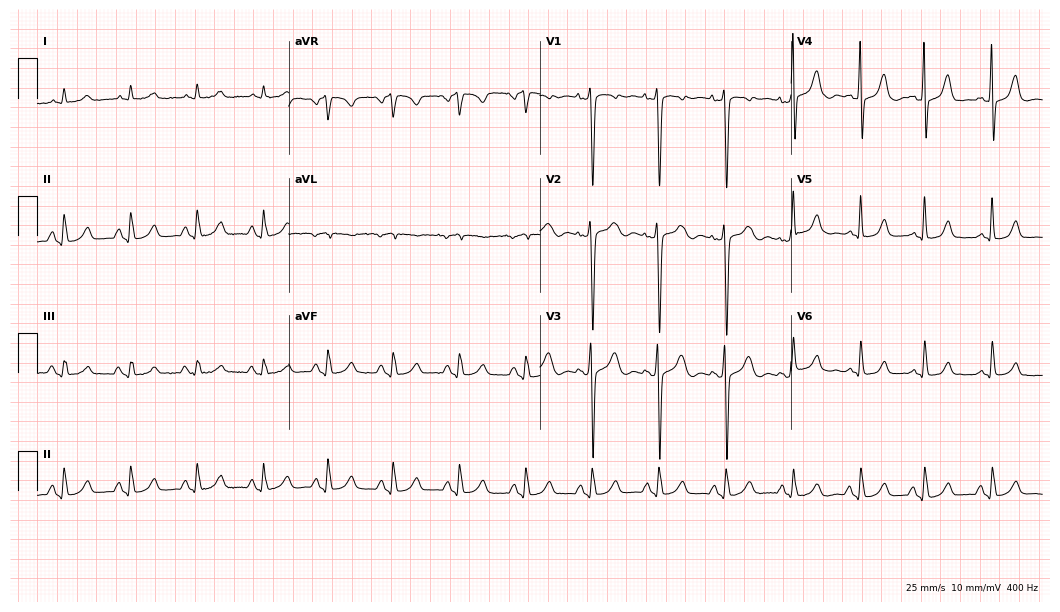
Standard 12-lead ECG recorded from a man, 81 years old. None of these six findings is recorded: first-degree AV block, right bundle branch block, left bundle branch block, sinus bradycardia, atrial fibrillation, sinus tachycardia.